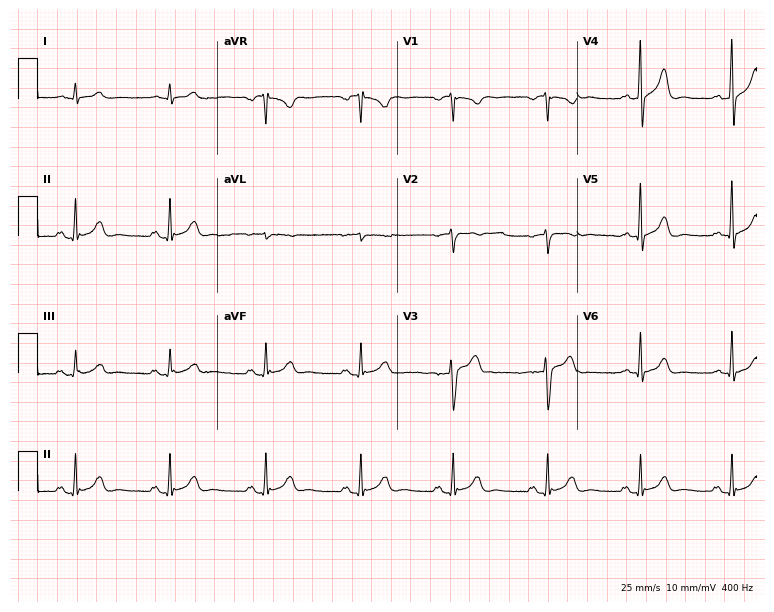
12-lead ECG (7.3-second recording at 400 Hz) from a man, 54 years old. Labelled as a normal ECG.